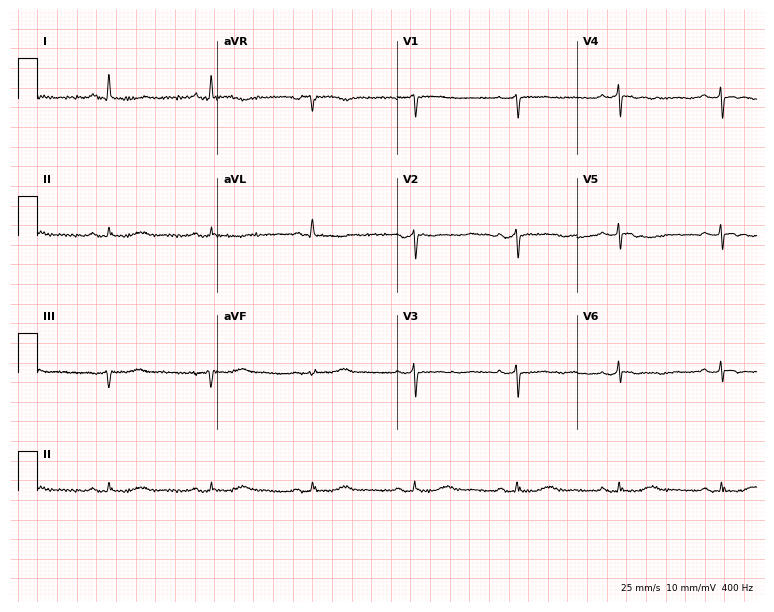
Resting 12-lead electrocardiogram (7.3-second recording at 400 Hz). Patient: an 84-year-old woman. None of these six findings is recorded: first-degree AV block, right bundle branch block (RBBB), left bundle branch block (LBBB), sinus bradycardia, atrial fibrillation (AF), sinus tachycardia. Other findings, if any, are not listed.